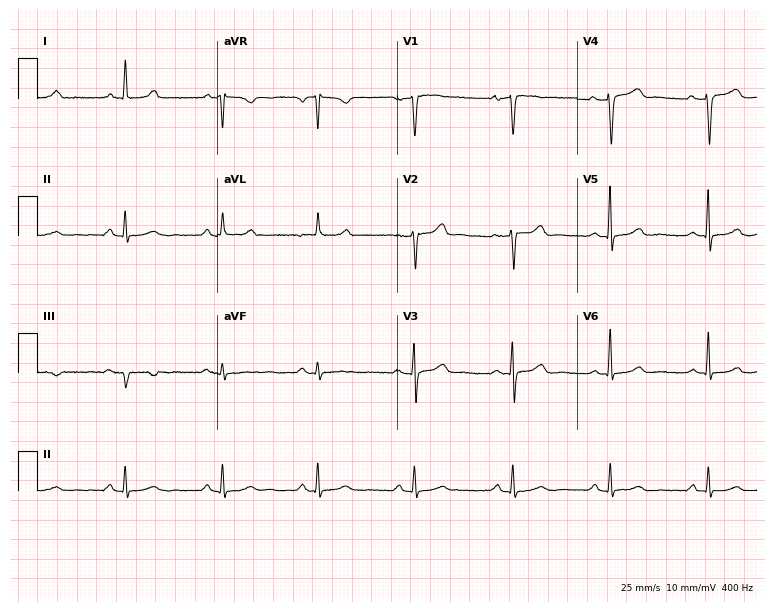
Resting 12-lead electrocardiogram (7.3-second recording at 400 Hz). Patient: a female, 66 years old. None of these six findings is recorded: first-degree AV block, right bundle branch block (RBBB), left bundle branch block (LBBB), sinus bradycardia, atrial fibrillation (AF), sinus tachycardia. Only these six findings were labelled.